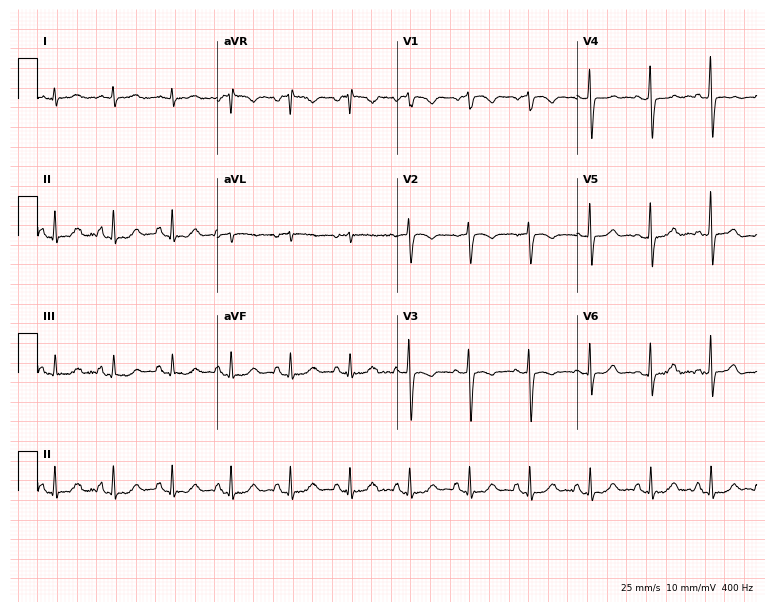
Resting 12-lead electrocardiogram. Patient: a 74-year-old man. None of these six findings is recorded: first-degree AV block, right bundle branch block, left bundle branch block, sinus bradycardia, atrial fibrillation, sinus tachycardia. Findings outside these six are not listed.